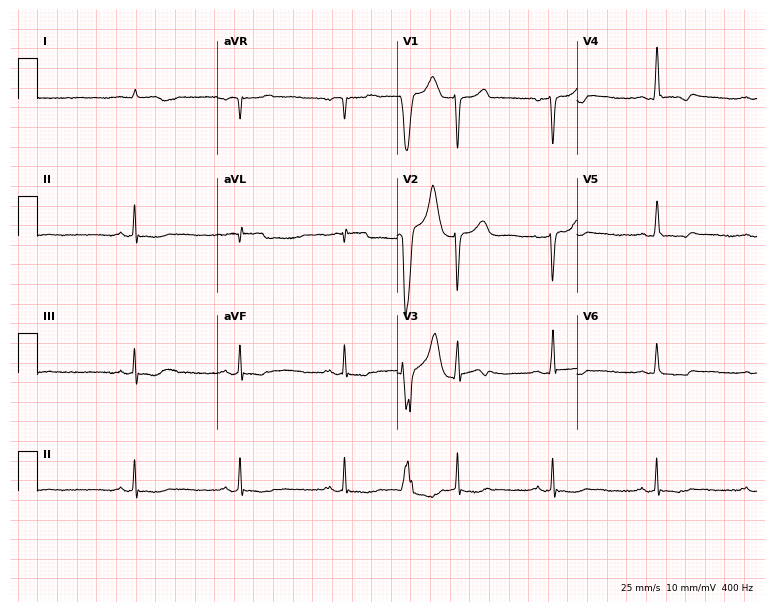
12-lead ECG from a 63-year-old male patient. No first-degree AV block, right bundle branch block, left bundle branch block, sinus bradycardia, atrial fibrillation or sinus tachycardia recorded for this tracing.